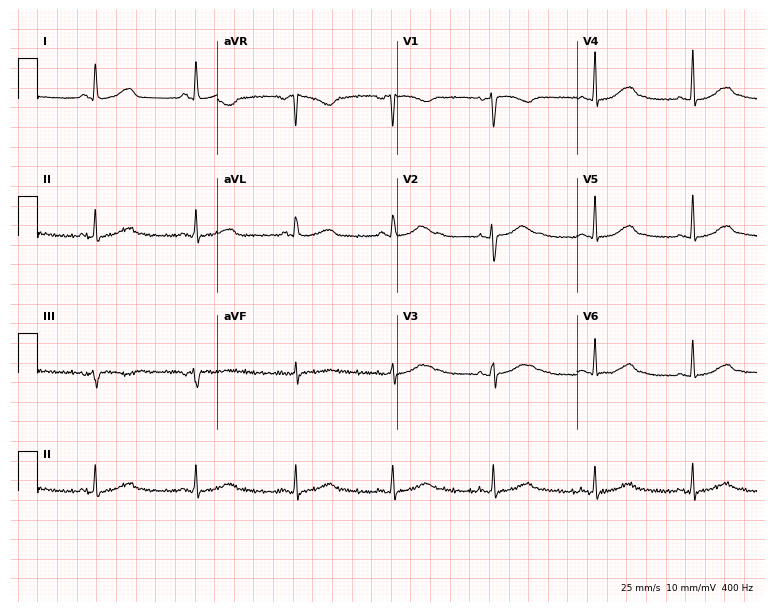
12-lead ECG from a female patient, 45 years old (7.3-second recording at 400 Hz). No first-degree AV block, right bundle branch block, left bundle branch block, sinus bradycardia, atrial fibrillation or sinus tachycardia recorded for this tracing. Only these six findings were labelled.